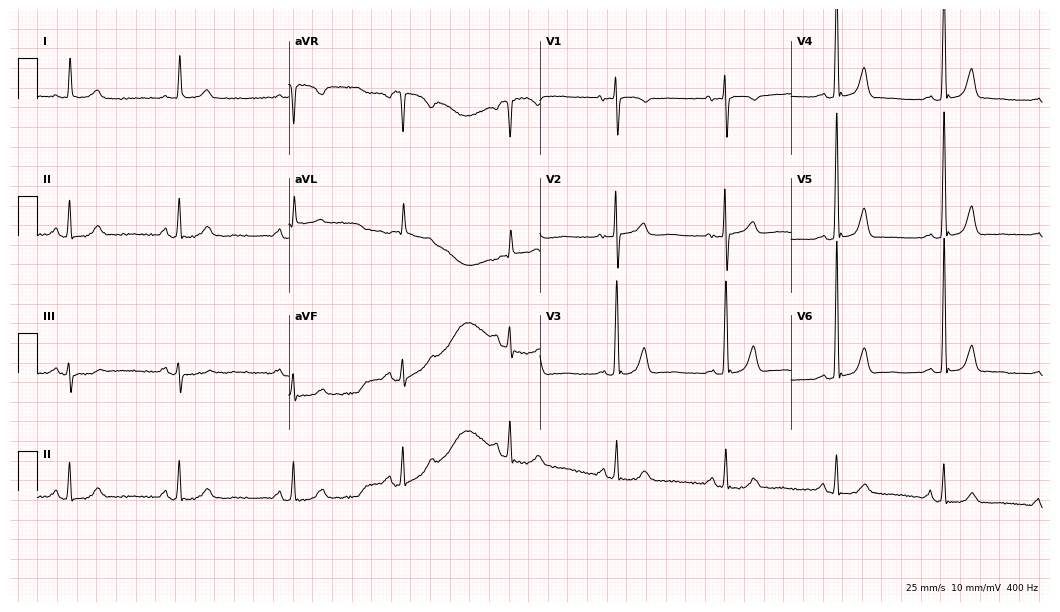
Resting 12-lead electrocardiogram (10.2-second recording at 400 Hz). Patient: a 73-year-old female. None of these six findings is recorded: first-degree AV block, right bundle branch block, left bundle branch block, sinus bradycardia, atrial fibrillation, sinus tachycardia.